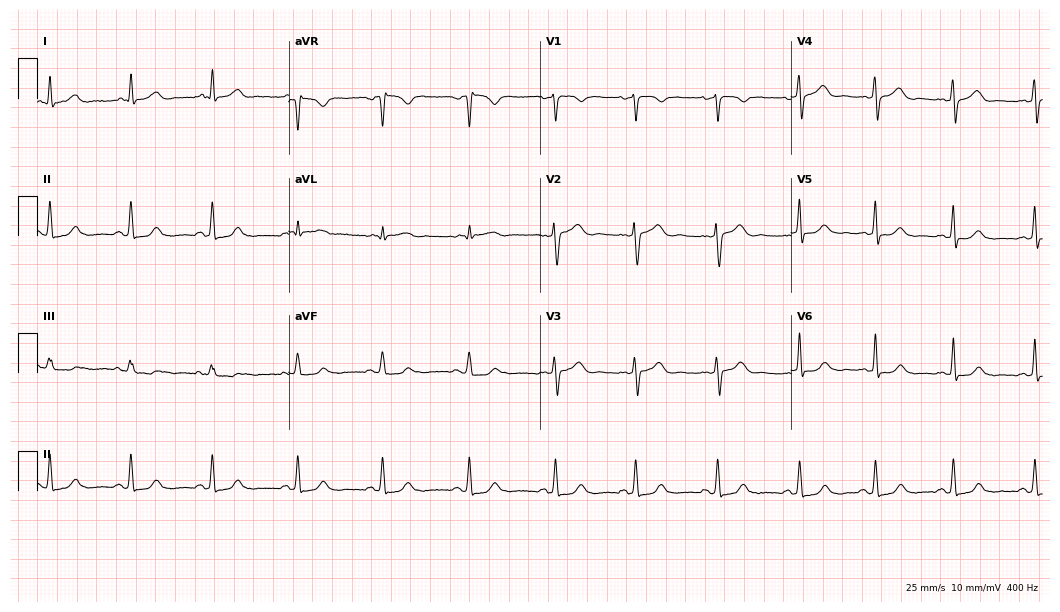
Resting 12-lead electrocardiogram. Patient: a 45-year-old female. None of these six findings is recorded: first-degree AV block, right bundle branch block, left bundle branch block, sinus bradycardia, atrial fibrillation, sinus tachycardia.